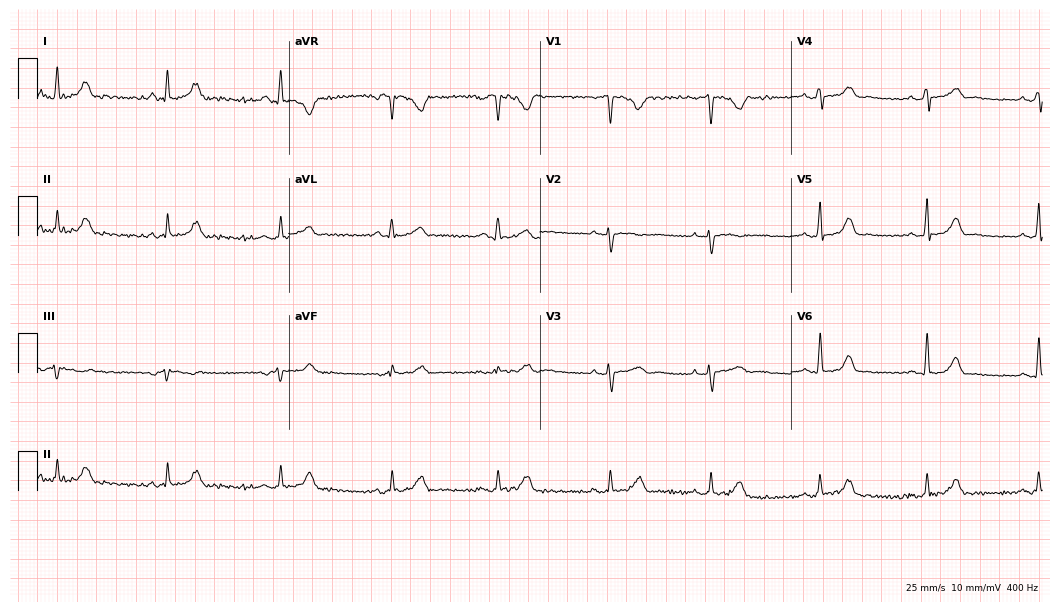
Standard 12-lead ECG recorded from a female, 34 years old (10.2-second recording at 400 Hz). None of these six findings is recorded: first-degree AV block, right bundle branch block (RBBB), left bundle branch block (LBBB), sinus bradycardia, atrial fibrillation (AF), sinus tachycardia.